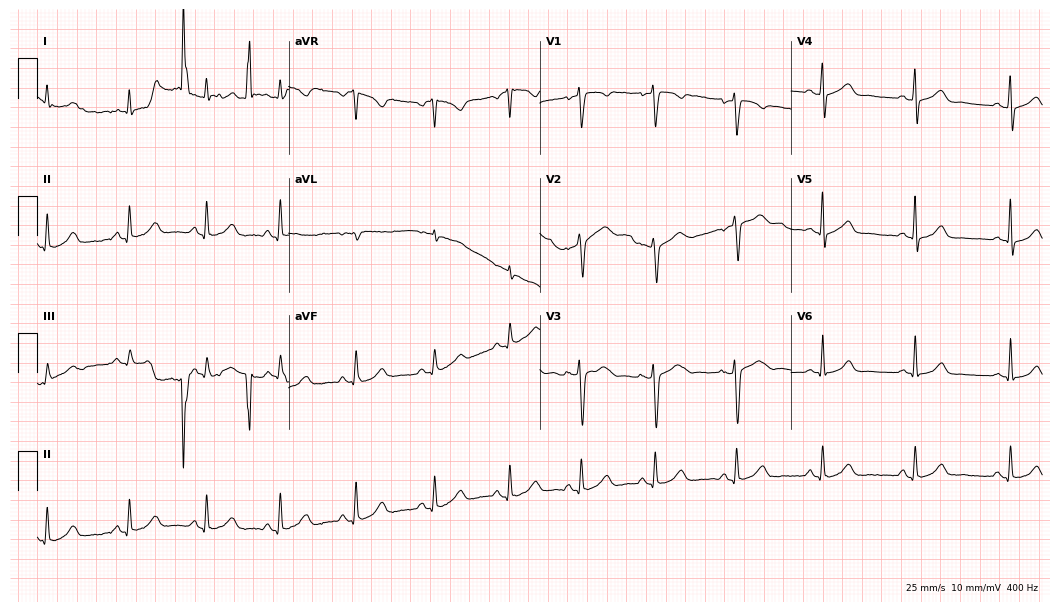
ECG (10.2-second recording at 400 Hz) — a female, 39 years old. Labelled as a normal ECG.